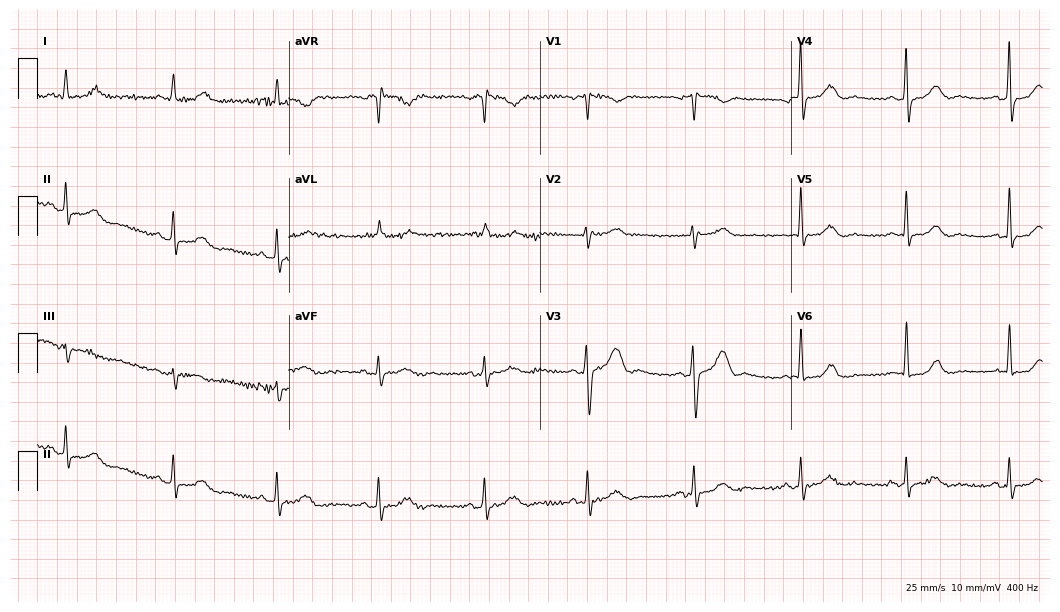
Resting 12-lead electrocardiogram. Patient: a woman, 73 years old. Read as a normal ECG.